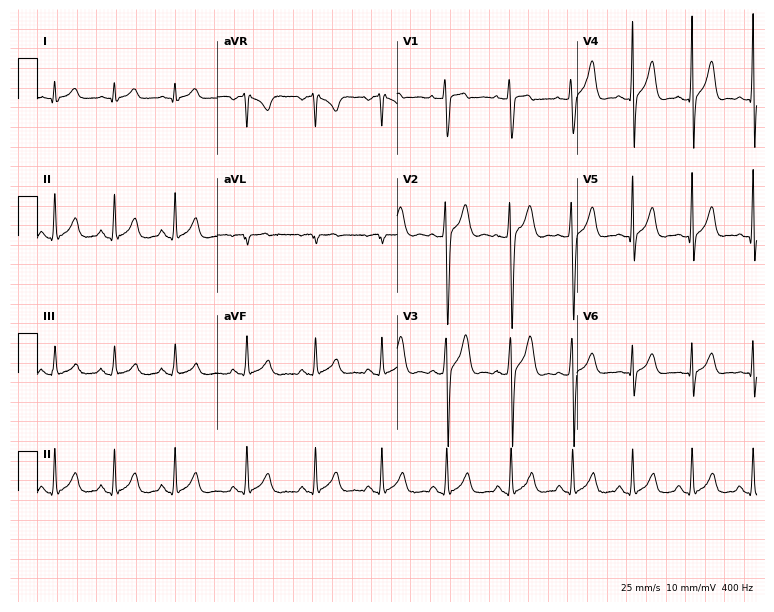
Electrocardiogram (7.3-second recording at 400 Hz), an 18-year-old male patient. Overall reading on record: normal ECG.